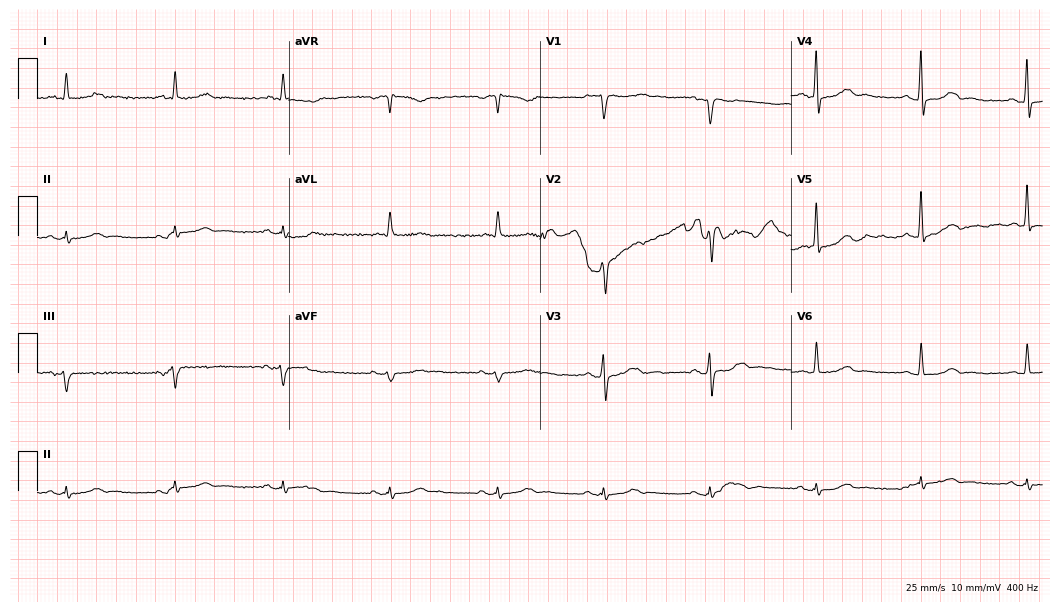
ECG — a male patient, 82 years old. Screened for six findings — first-degree AV block, right bundle branch block, left bundle branch block, sinus bradycardia, atrial fibrillation, sinus tachycardia — none is recorded.